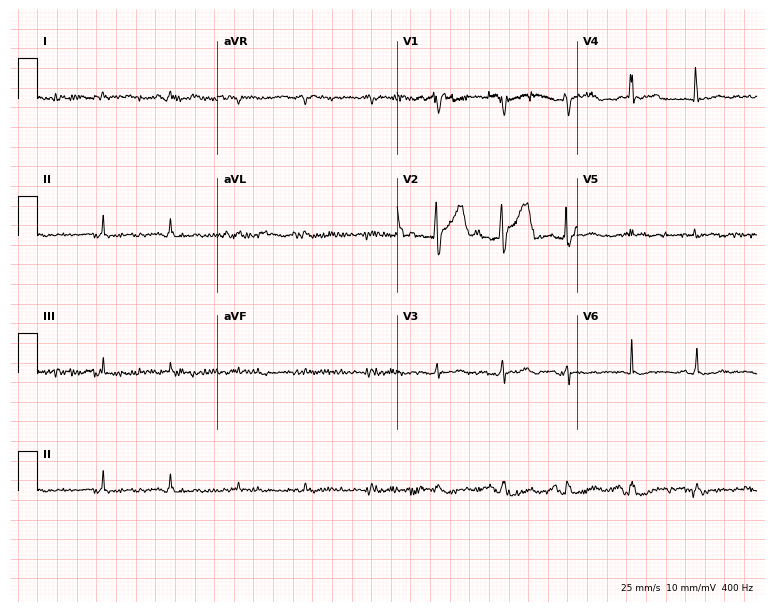
ECG — a male patient, 54 years old. Screened for six findings — first-degree AV block, right bundle branch block, left bundle branch block, sinus bradycardia, atrial fibrillation, sinus tachycardia — none is recorded.